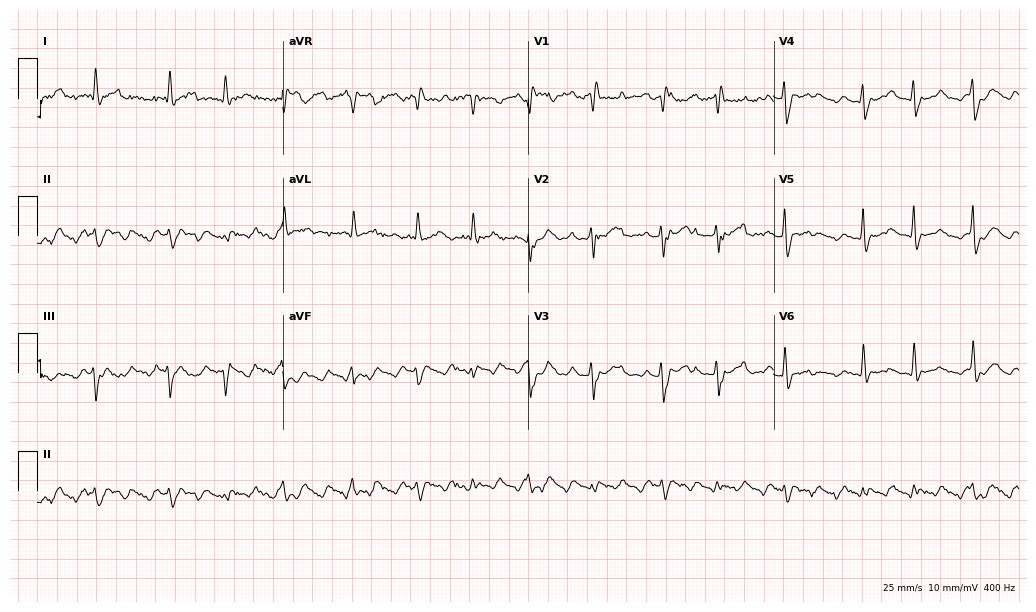
12-lead ECG from an 81-year-old man. Findings include atrial fibrillation.